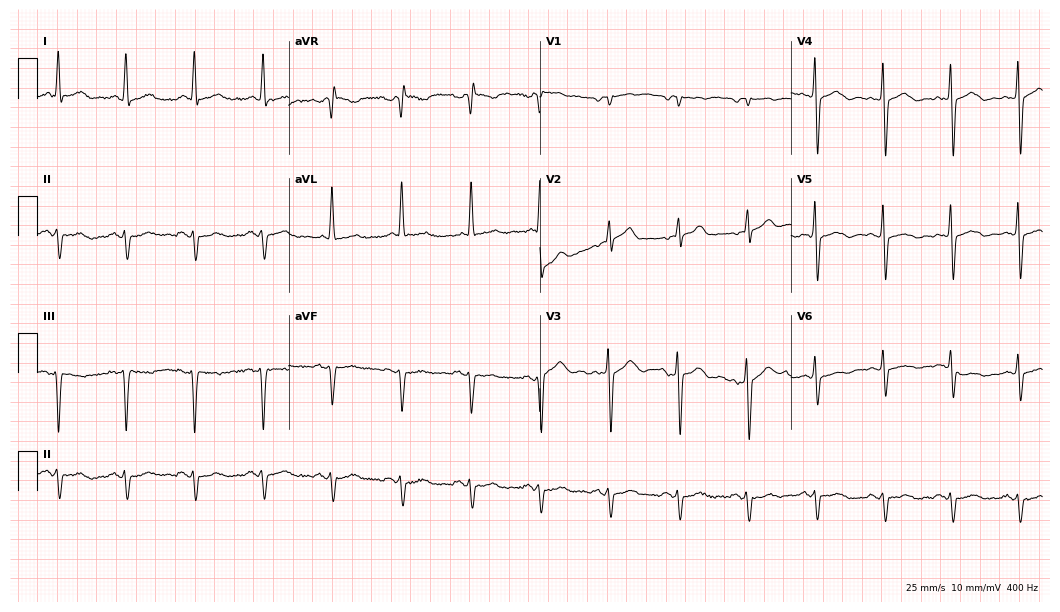
12-lead ECG from a 76-year-old male patient. No first-degree AV block, right bundle branch block (RBBB), left bundle branch block (LBBB), sinus bradycardia, atrial fibrillation (AF) or sinus tachycardia recorded for this tracing.